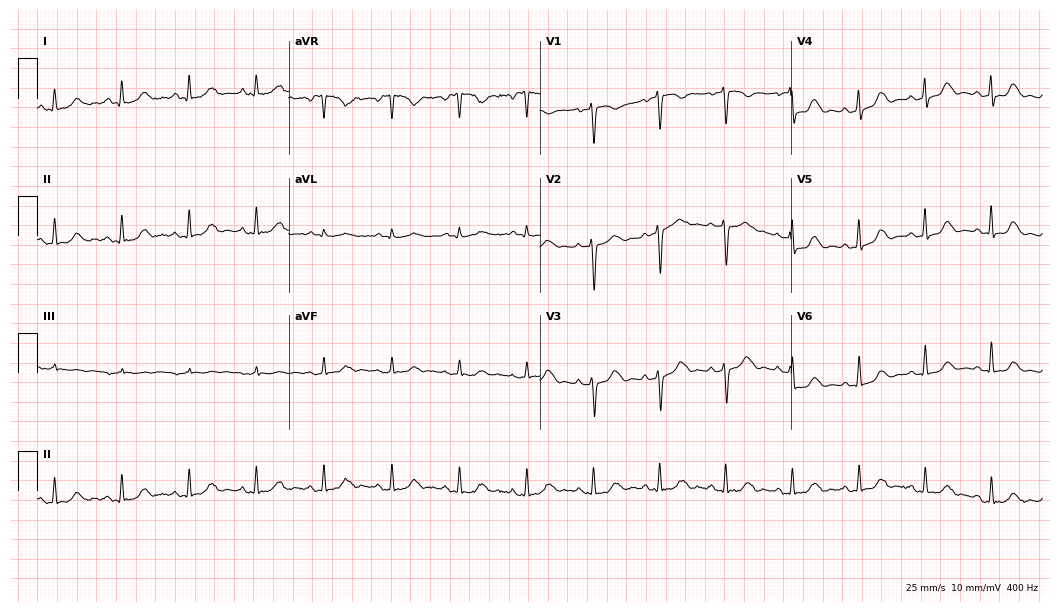
Resting 12-lead electrocardiogram. Patient: a female, 62 years old. Read as a normal ECG.